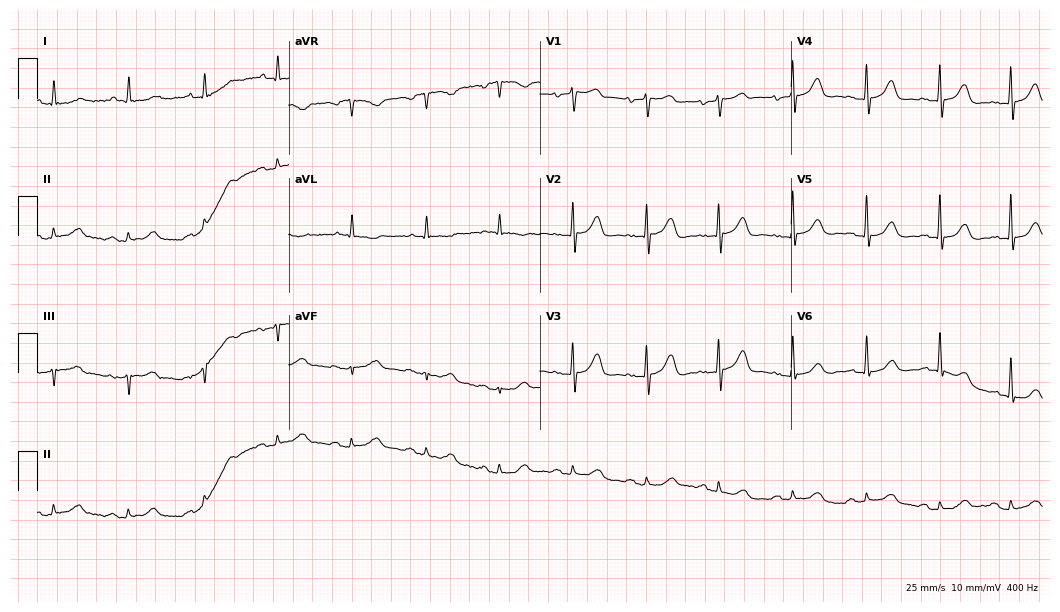
Electrocardiogram (10.2-second recording at 400 Hz), a 40-year-old woman. Overall reading on record: normal ECG.